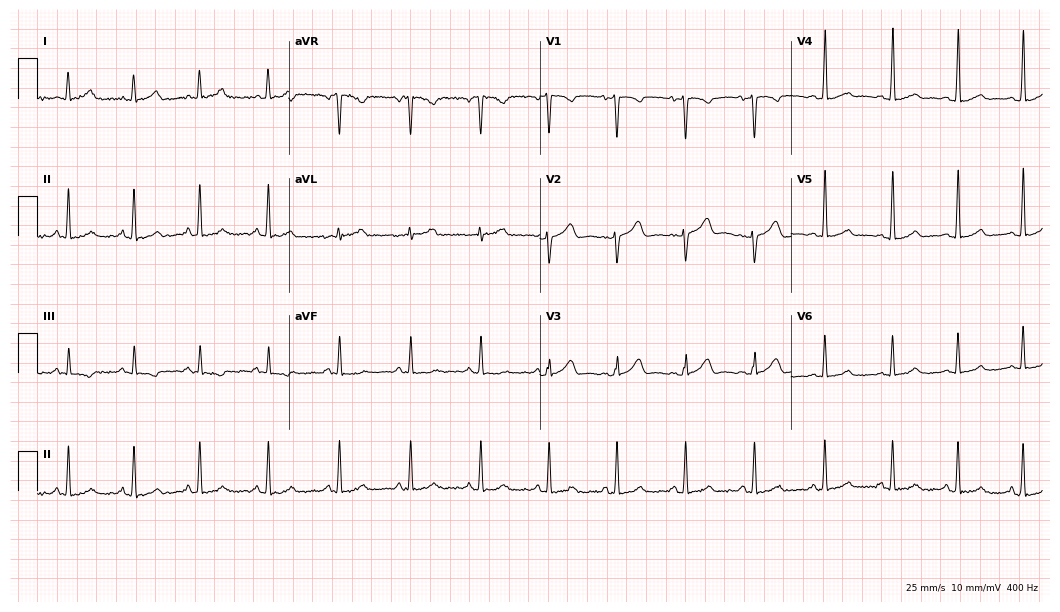
12-lead ECG (10.2-second recording at 400 Hz) from a 26-year-old female patient. Screened for six findings — first-degree AV block, right bundle branch block (RBBB), left bundle branch block (LBBB), sinus bradycardia, atrial fibrillation (AF), sinus tachycardia — none is recorded. Only these six findings were labelled.